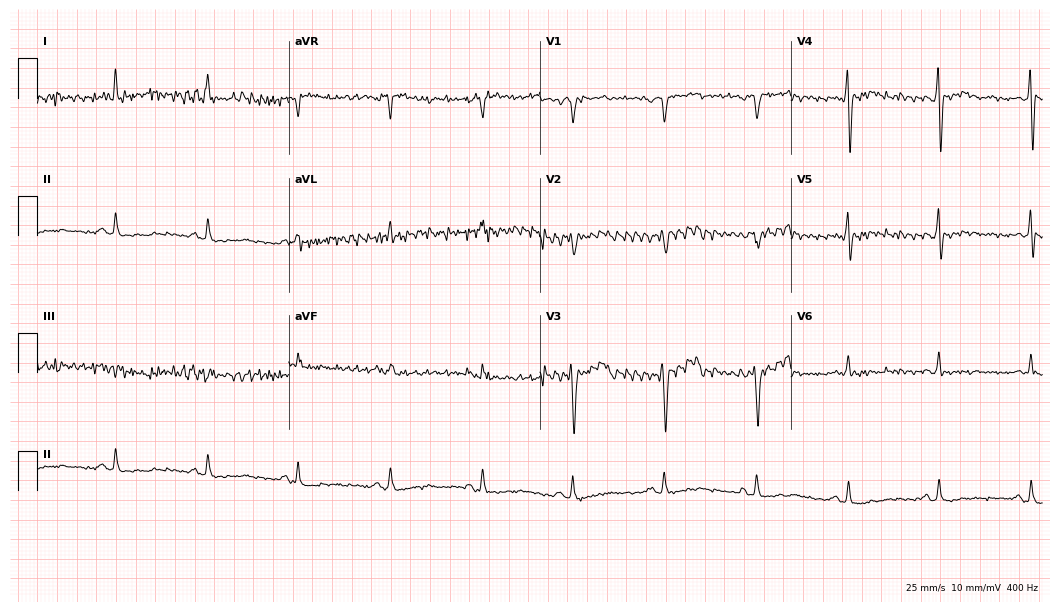
ECG — a female patient, 53 years old. Screened for six findings — first-degree AV block, right bundle branch block (RBBB), left bundle branch block (LBBB), sinus bradycardia, atrial fibrillation (AF), sinus tachycardia — none is recorded. Findings outside these six are not listed.